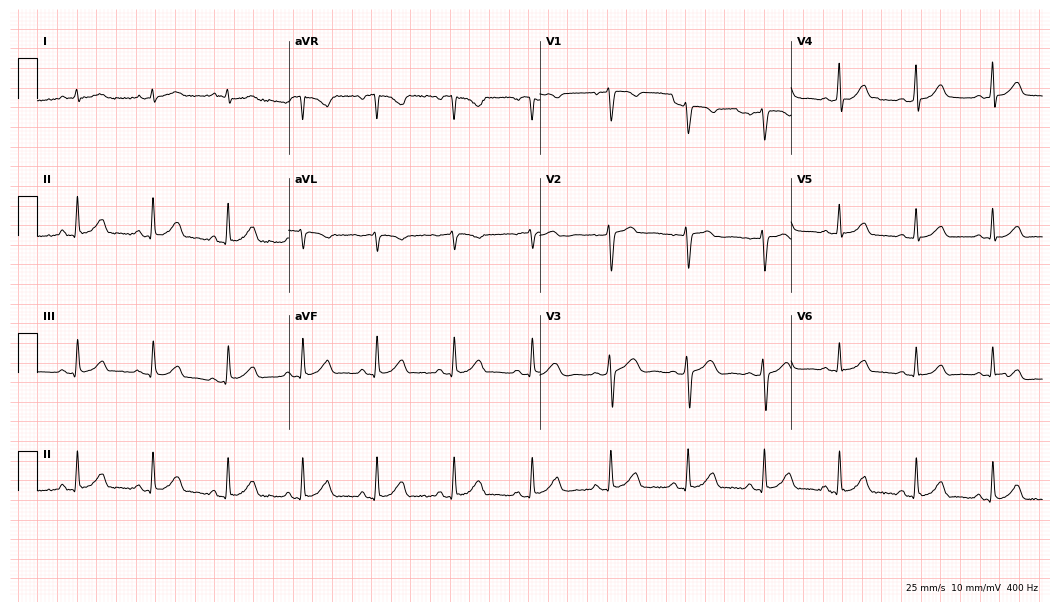
12-lead ECG (10.2-second recording at 400 Hz) from a woman, 45 years old. Labelled as a normal ECG.